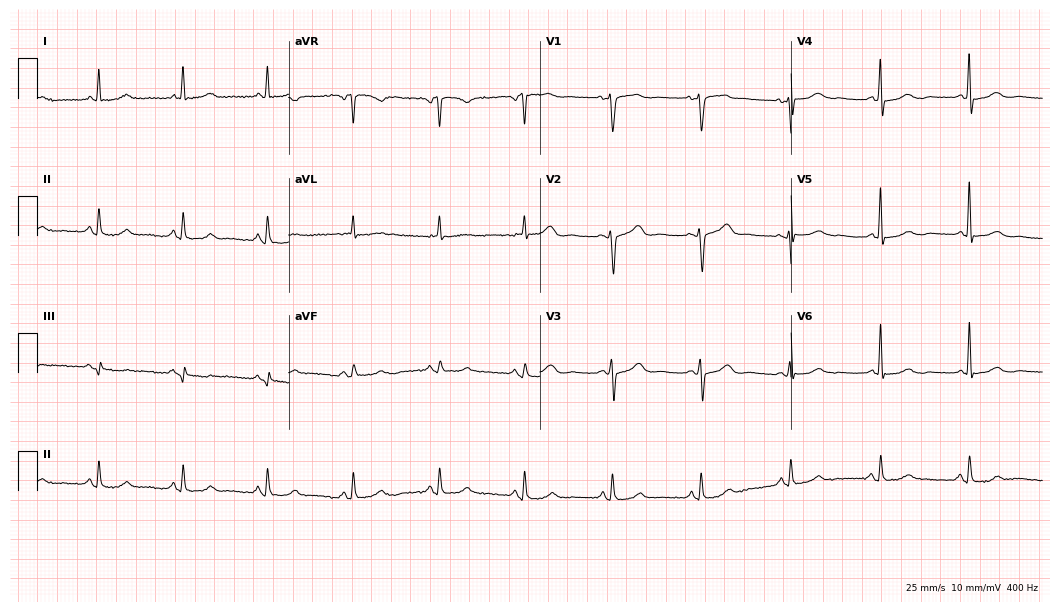
Electrocardiogram (10.2-second recording at 400 Hz), a 65-year-old woman. Overall reading on record: normal ECG.